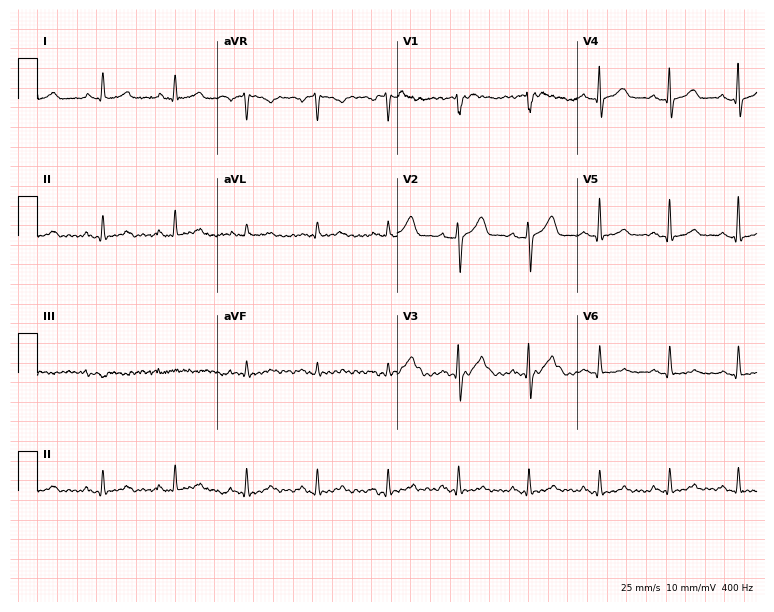
12-lead ECG from a male, 67 years old. Labelled as a normal ECG.